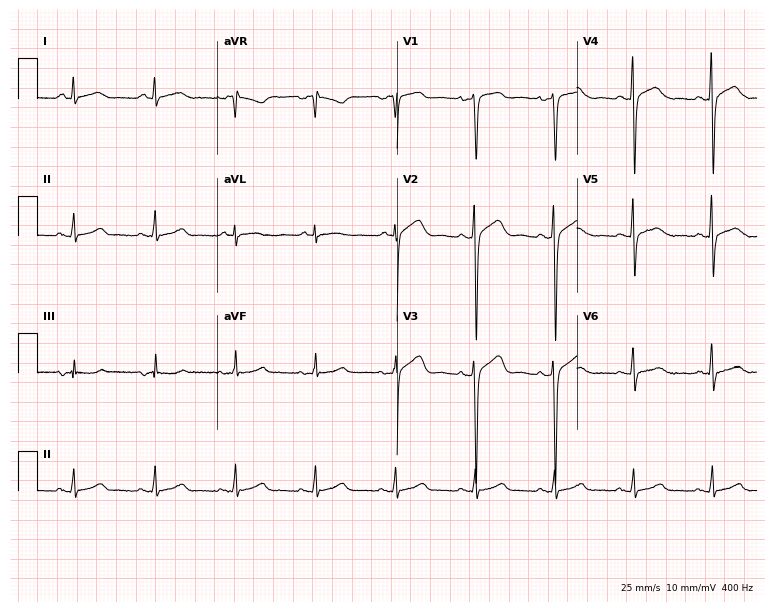
12-lead ECG from a male patient, 54 years old (7.3-second recording at 400 Hz). Recorded interpretation: within normal limits.